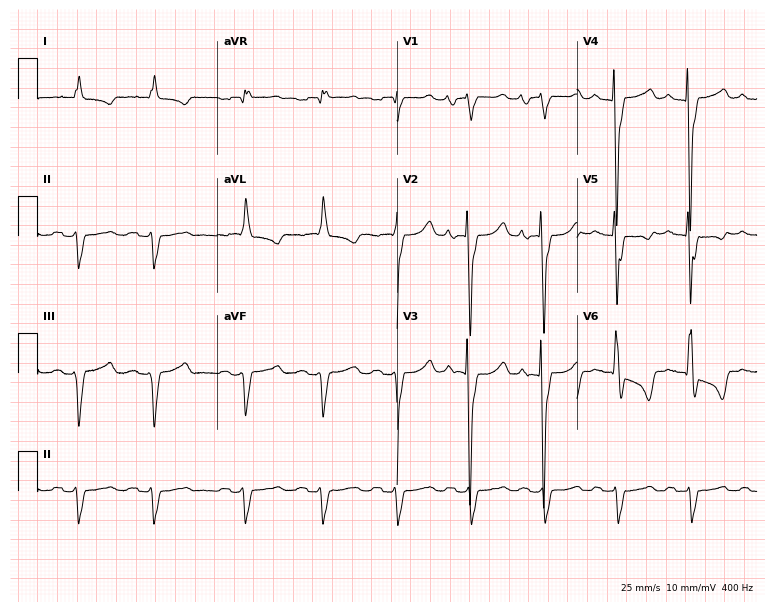
12-lead ECG from a female patient, 50 years old. Shows left bundle branch block.